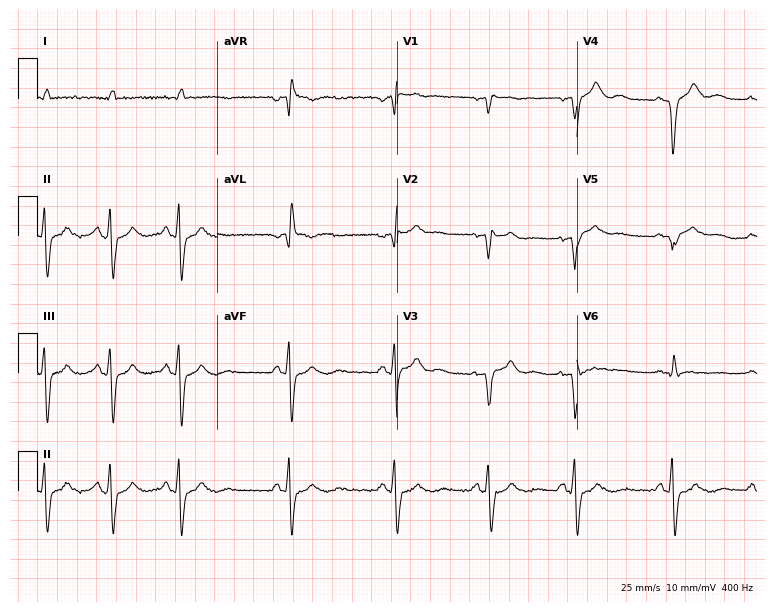
Resting 12-lead electrocardiogram. Patient: an 82-year-old man. The tracing shows right bundle branch block.